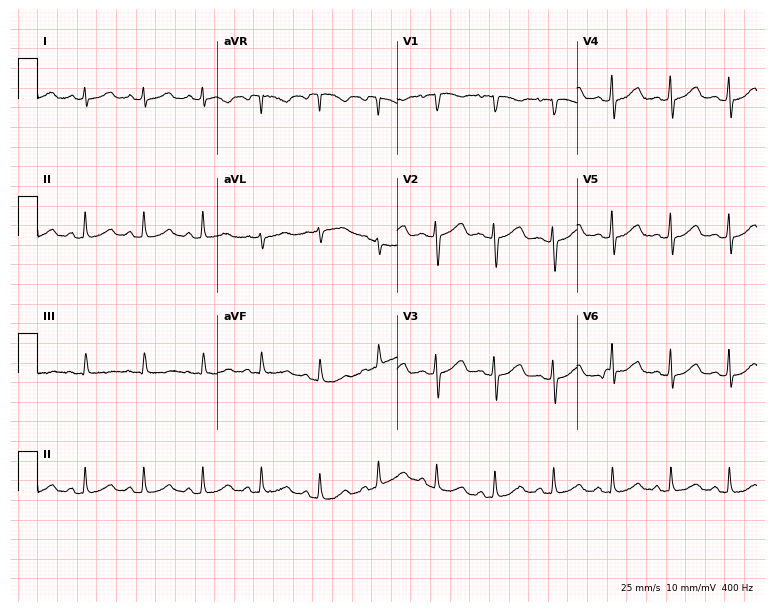
12-lead ECG from a 43-year-old female. Findings include sinus tachycardia (a sinus rate of 100 beats per minute or more).